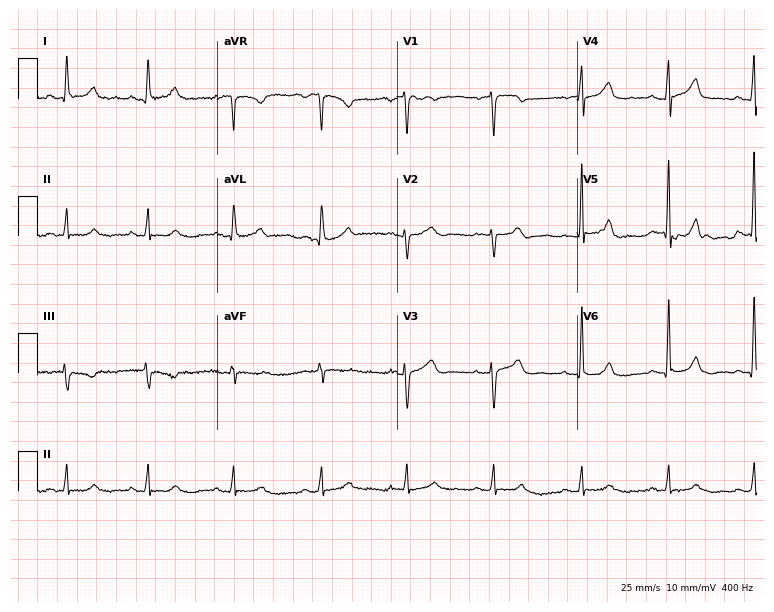
Electrocardiogram (7.3-second recording at 400 Hz), a woman, 53 years old. Overall reading on record: normal ECG.